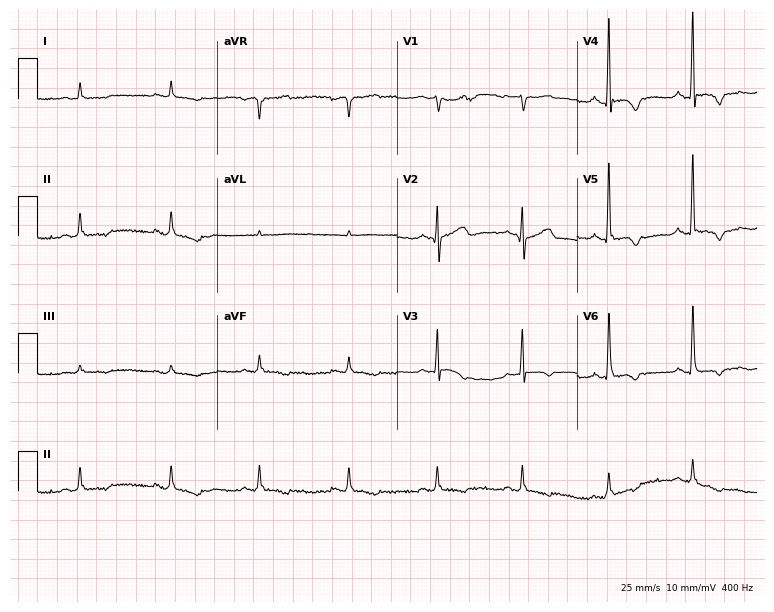
ECG — a 54-year-old man. Screened for six findings — first-degree AV block, right bundle branch block (RBBB), left bundle branch block (LBBB), sinus bradycardia, atrial fibrillation (AF), sinus tachycardia — none is recorded.